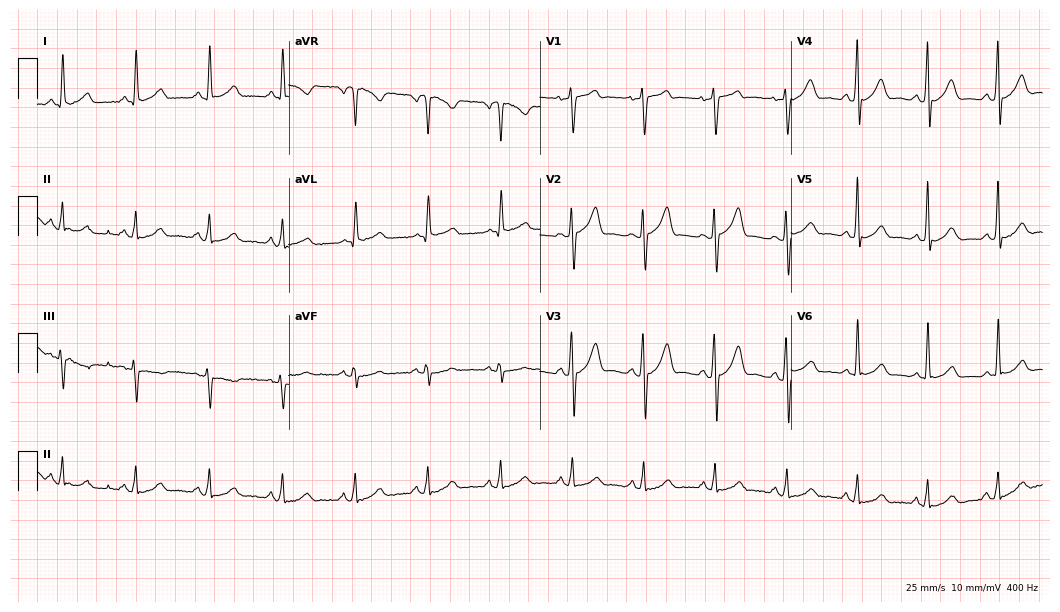
12-lead ECG from a man, 55 years old. Recorded interpretation: within normal limits.